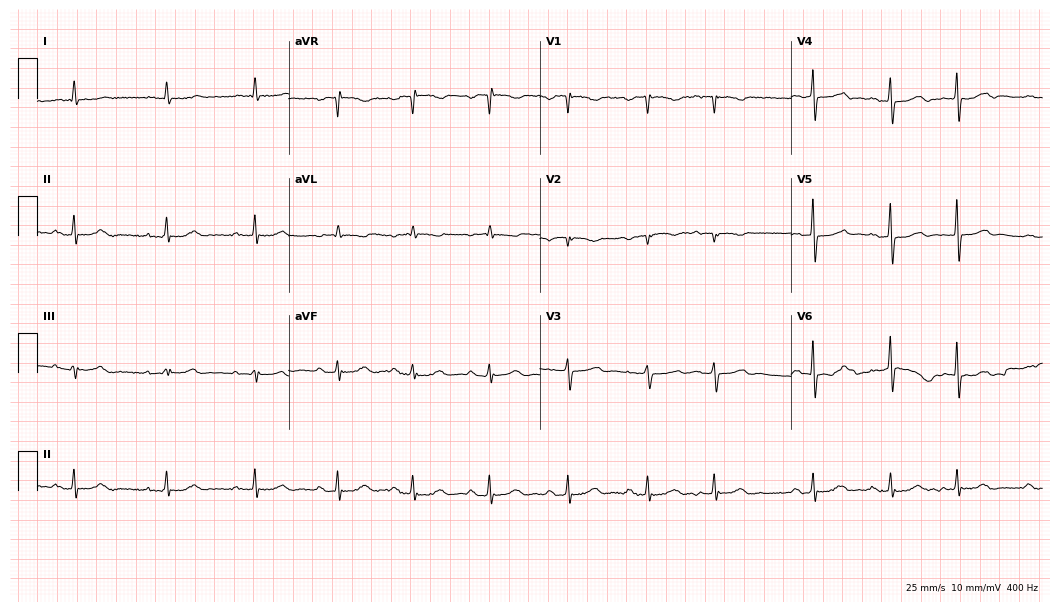
Standard 12-lead ECG recorded from an 84-year-old woman. None of these six findings is recorded: first-degree AV block, right bundle branch block, left bundle branch block, sinus bradycardia, atrial fibrillation, sinus tachycardia. Findings outside these six are not listed.